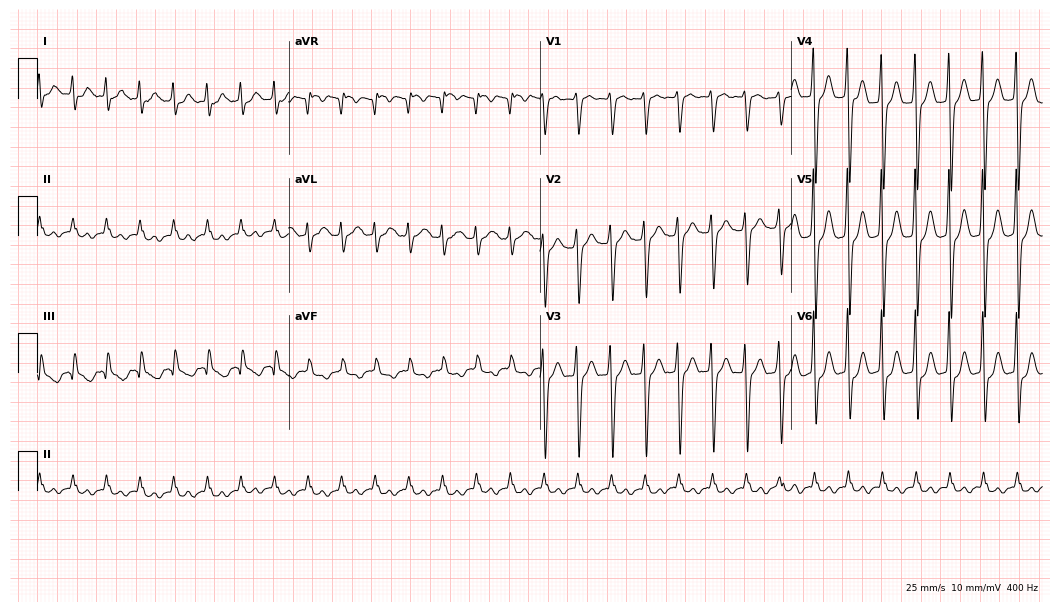
ECG — a 74-year-old male. Screened for six findings — first-degree AV block, right bundle branch block, left bundle branch block, sinus bradycardia, atrial fibrillation, sinus tachycardia — none is recorded. Only these six findings were labelled.